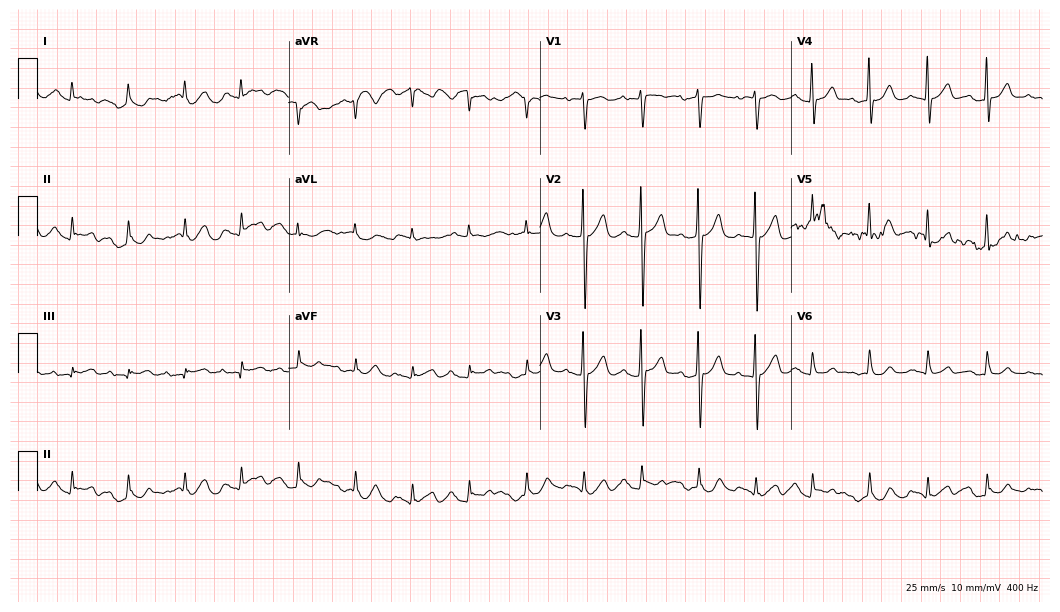
12-lead ECG from a female, 71 years old. Screened for six findings — first-degree AV block, right bundle branch block, left bundle branch block, sinus bradycardia, atrial fibrillation, sinus tachycardia — none is recorded. Only these six findings were labelled.